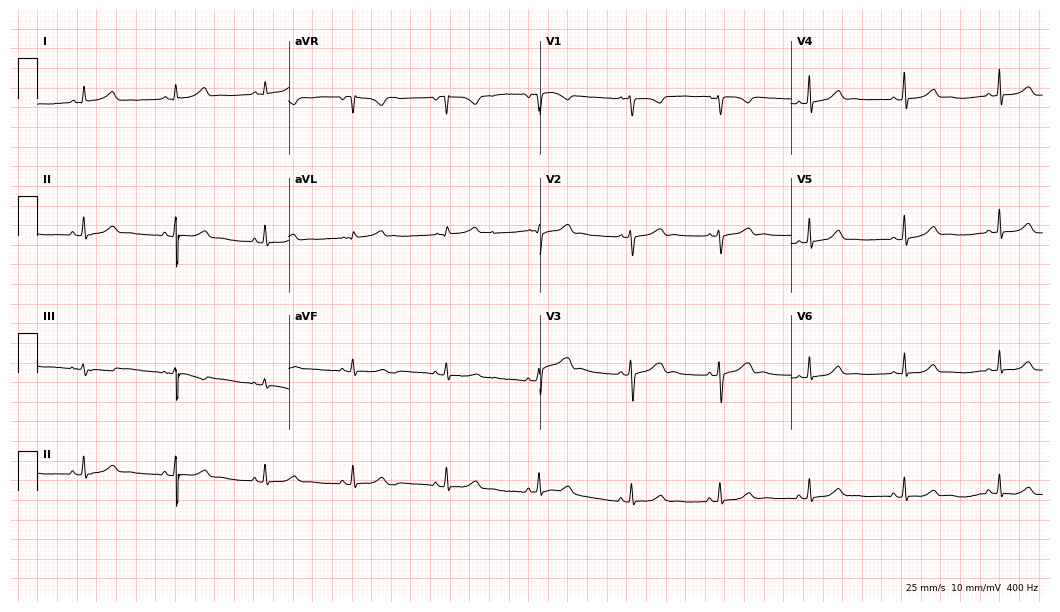
12-lead ECG from a woman, 18 years old (10.2-second recording at 400 Hz). Recorded interpretation: within normal limits.